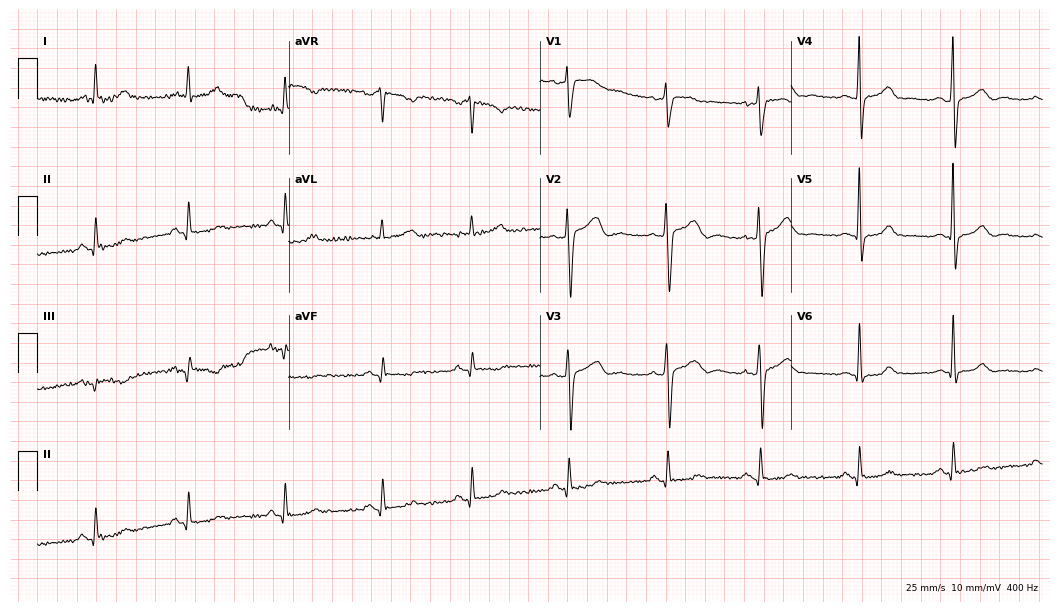
ECG — a female patient, 58 years old. Screened for six findings — first-degree AV block, right bundle branch block, left bundle branch block, sinus bradycardia, atrial fibrillation, sinus tachycardia — none is recorded. Only these six findings were labelled.